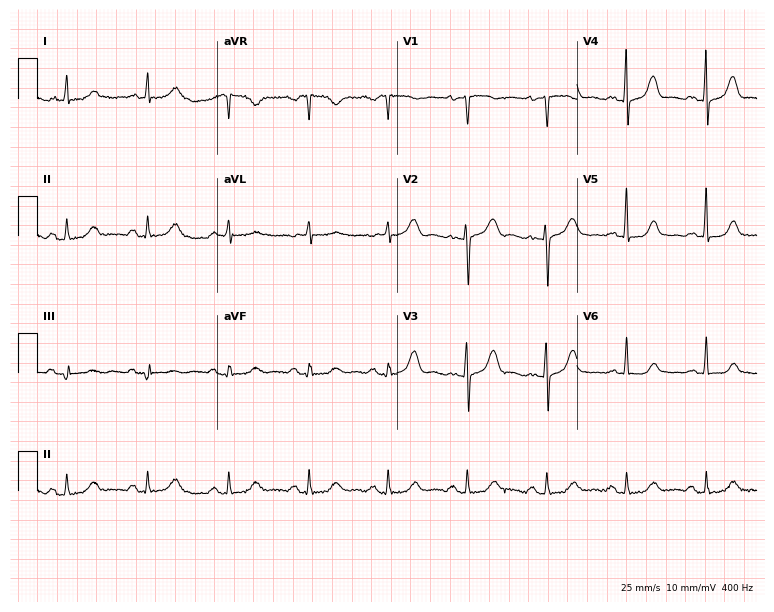
Electrocardiogram, a woman, 63 years old. Of the six screened findings (first-degree AV block, right bundle branch block (RBBB), left bundle branch block (LBBB), sinus bradycardia, atrial fibrillation (AF), sinus tachycardia), none is recorded. Only these six findings were labelled.